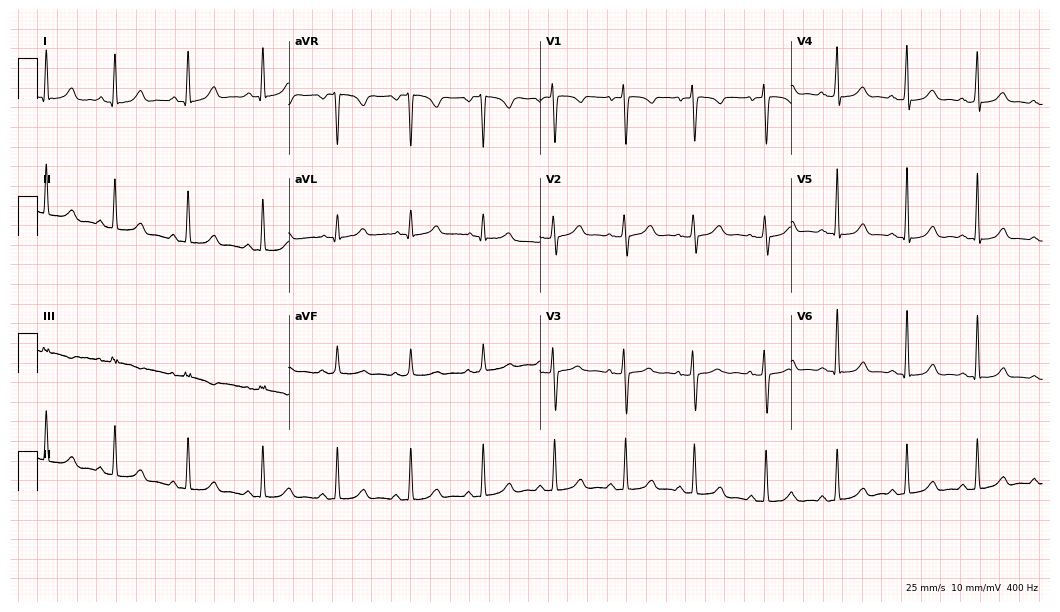
Electrocardiogram (10.2-second recording at 400 Hz), a 26-year-old female patient. Overall reading on record: normal ECG.